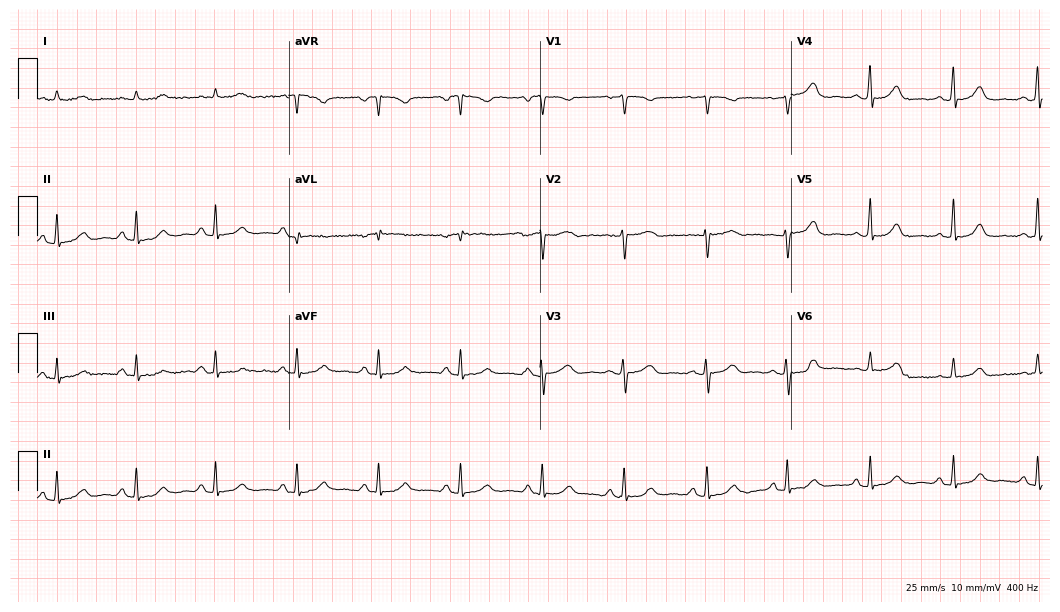
Resting 12-lead electrocardiogram (10.2-second recording at 400 Hz). Patient: a 58-year-old female. Read as a normal ECG.